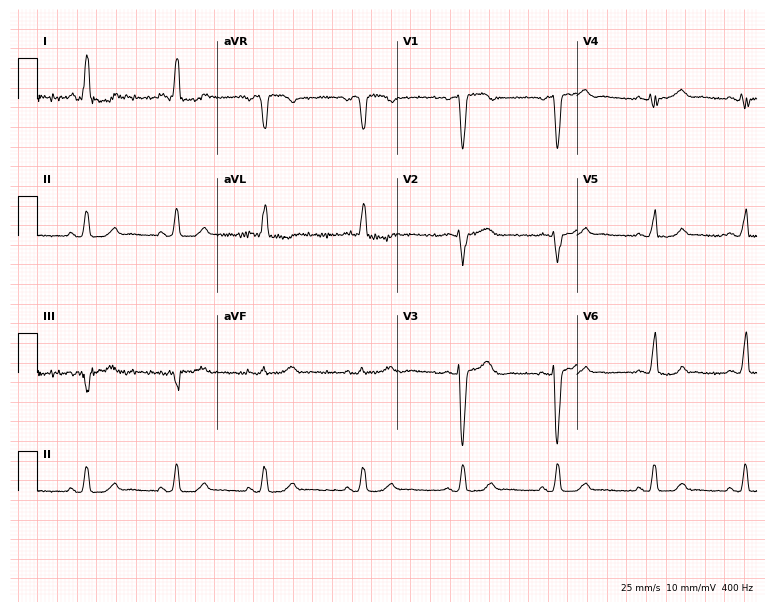
ECG — a female patient, 23 years old. Labelled as a normal ECG.